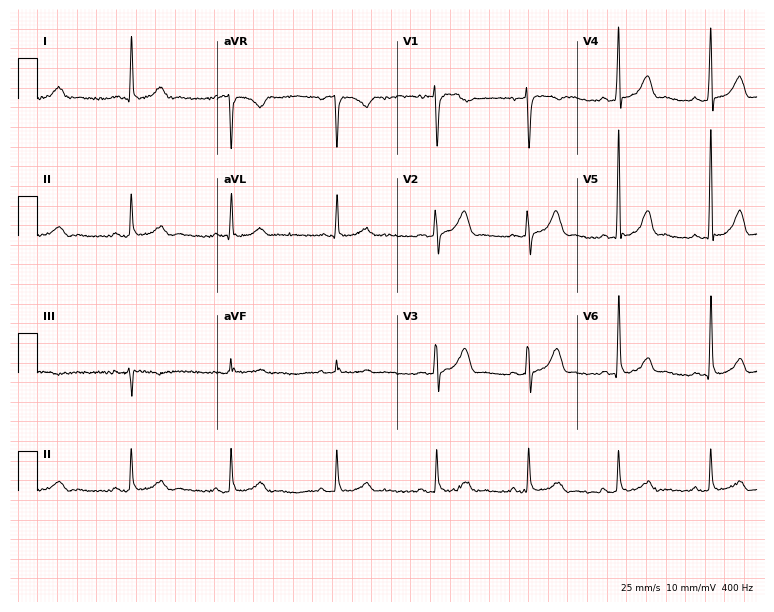
12-lead ECG from a 56-year-old man. Labelled as a normal ECG.